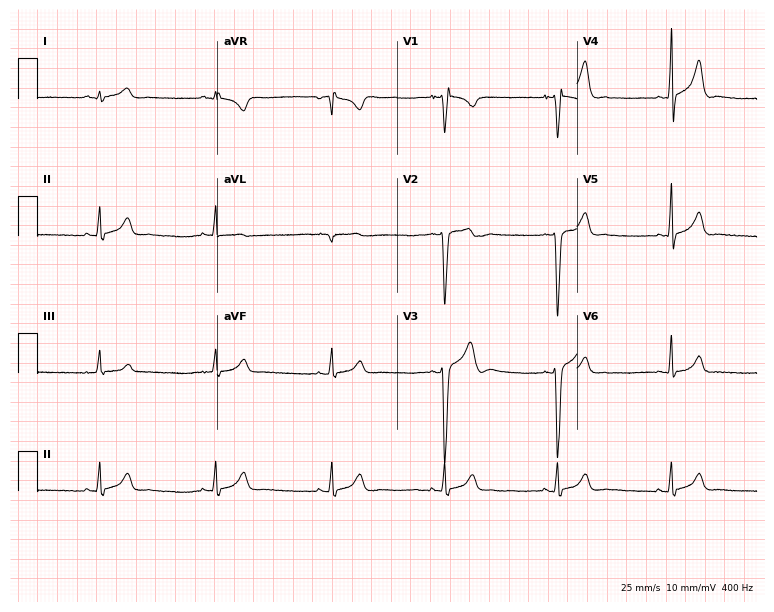
Standard 12-lead ECG recorded from a 23-year-old man (7.3-second recording at 400 Hz). None of these six findings is recorded: first-degree AV block, right bundle branch block, left bundle branch block, sinus bradycardia, atrial fibrillation, sinus tachycardia.